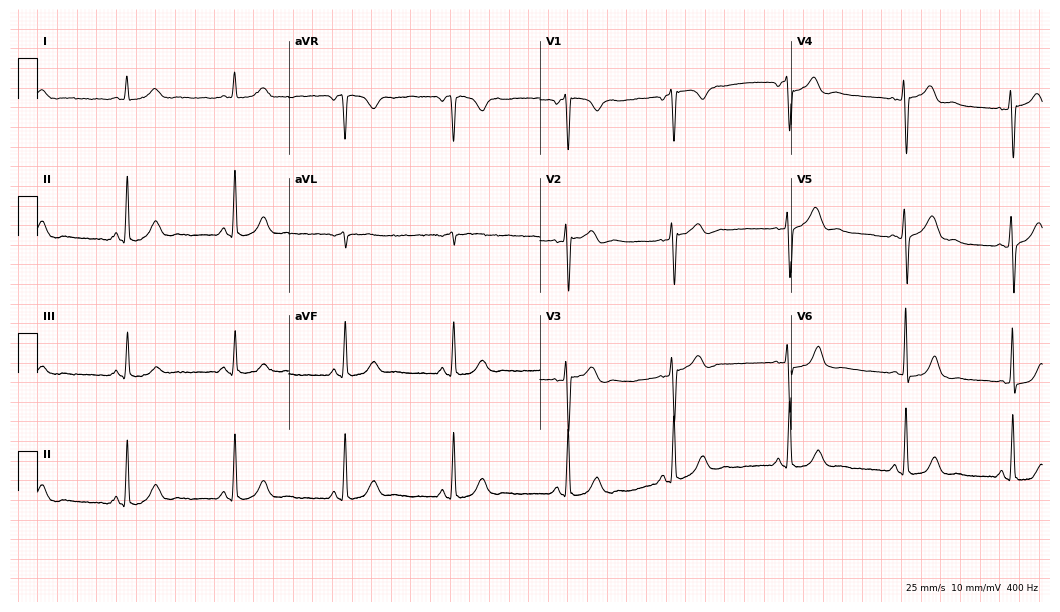
Electrocardiogram, a 38-year-old man. Overall reading on record: normal ECG.